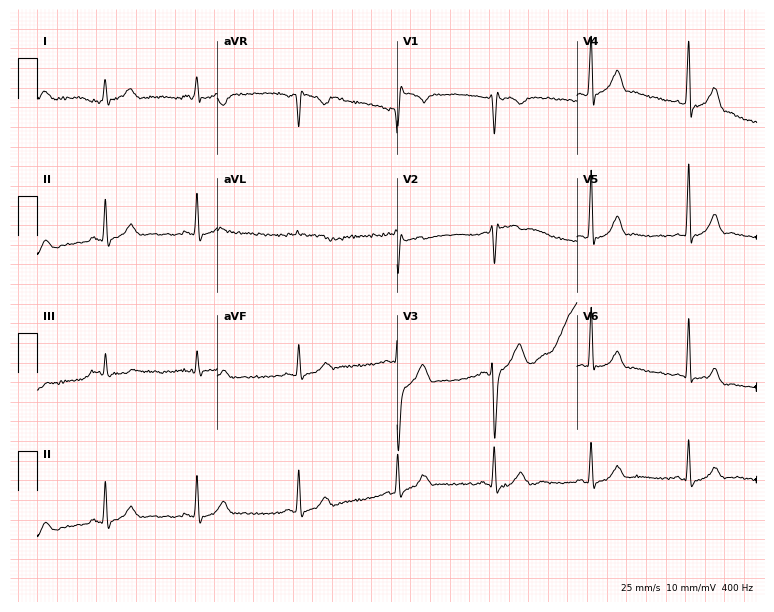
Electrocardiogram, a 37-year-old male patient. Of the six screened findings (first-degree AV block, right bundle branch block (RBBB), left bundle branch block (LBBB), sinus bradycardia, atrial fibrillation (AF), sinus tachycardia), none is recorded.